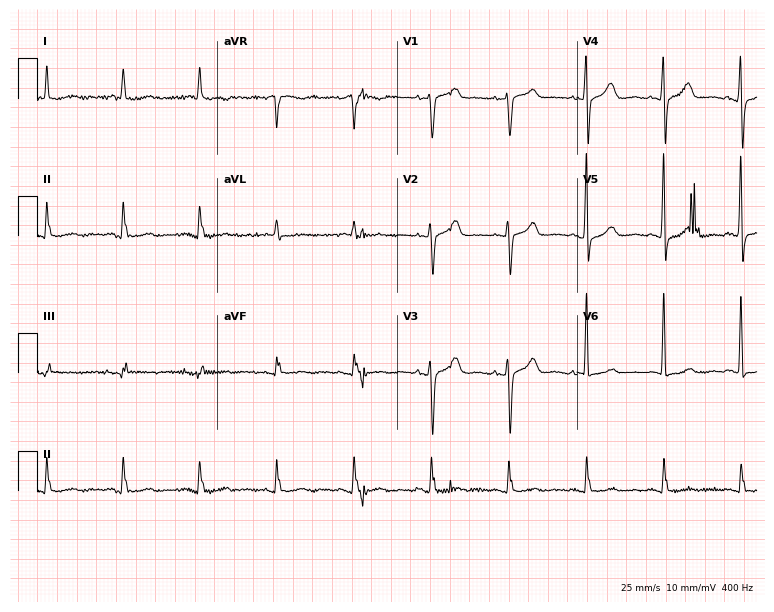
Electrocardiogram, an 80-year-old woman. Overall reading on record: normal ECG.